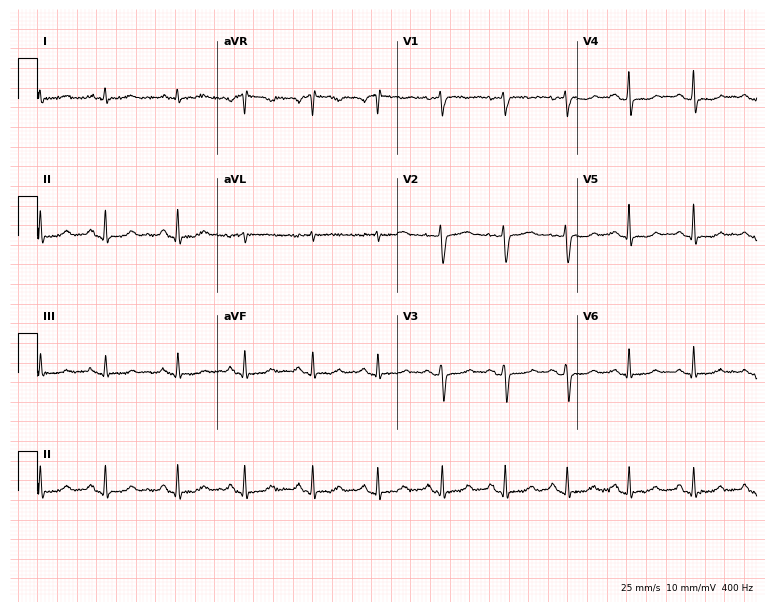
12-lead ECG from a 38-year-old female patient. No first-degree AV block, right bundle branch block (RBBB), left bundle branch block (LBBB), sinus bradycardia, atrial fibrillation (AF) or sinus tachycardia recorded for this tracing. Other findings, if any, are not listed.